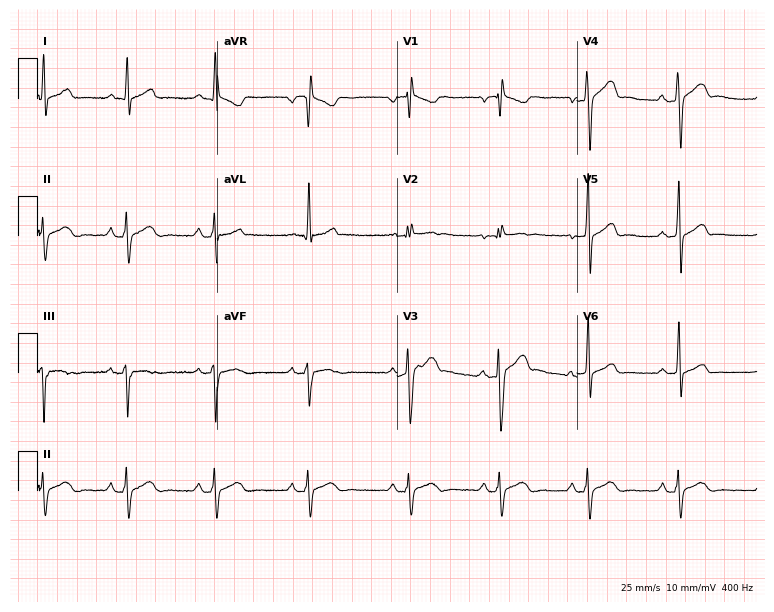
12-lead ECG from a 22-year-old man. Screened for six findings — first-degree AV block, right bundle branch block, left bundle branch block, sinus bradycardia, atrial fibrillation, sinus tachycardia — none is recorded. Findings outside these six are not listed.